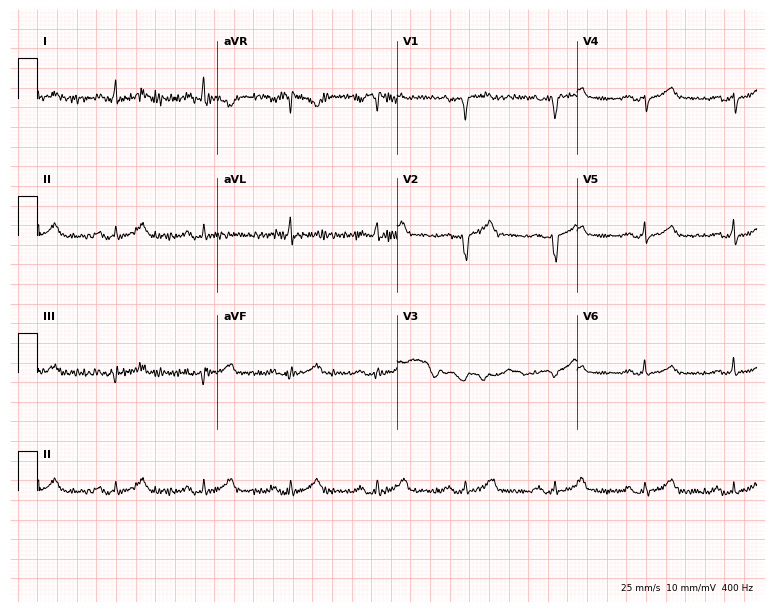
Resting 12-lead electrocardiogram (7.3-second recording at 400 Hz). Patient: a 55-year-old male. None of these six findings is recorded: first-degree AV block, right bundle branch block (RBBB), left bundle branch block (LBBB), sinus bradycardia, atrial fibrillation (AF), sinus tachycardia.